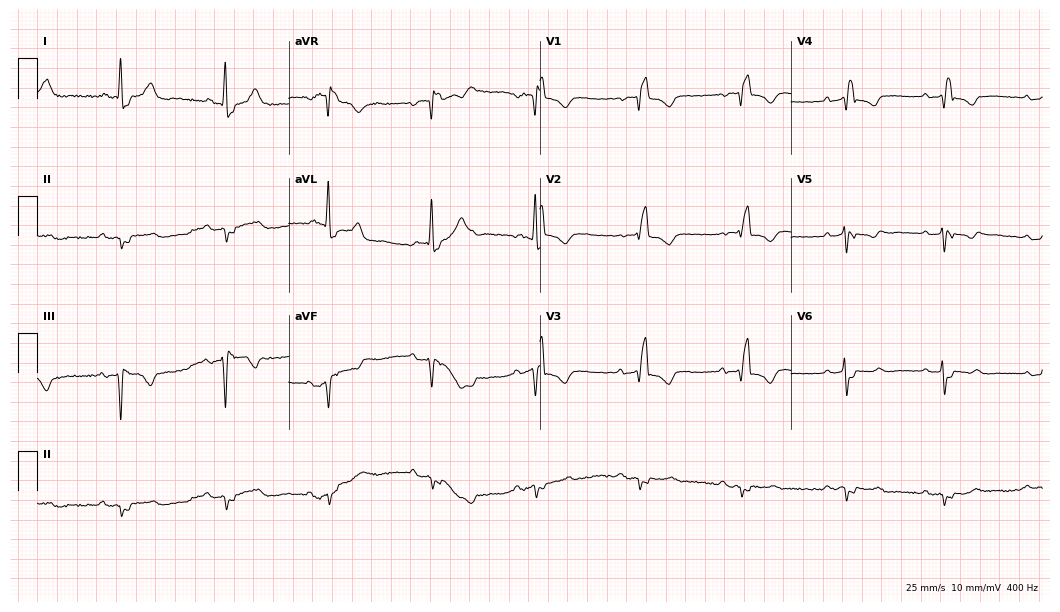
Resting 12-lead electrocardiogram (10.2-second recording at 400 Hz). Patient: an 82-year-old male. None of these six findings is recorded: first-degree AV block, right bundle branch block, left bundle branch block, sinus bradycardia, atrial fibrillation, sinus tachycardia. Other findings, if any, are not listed.